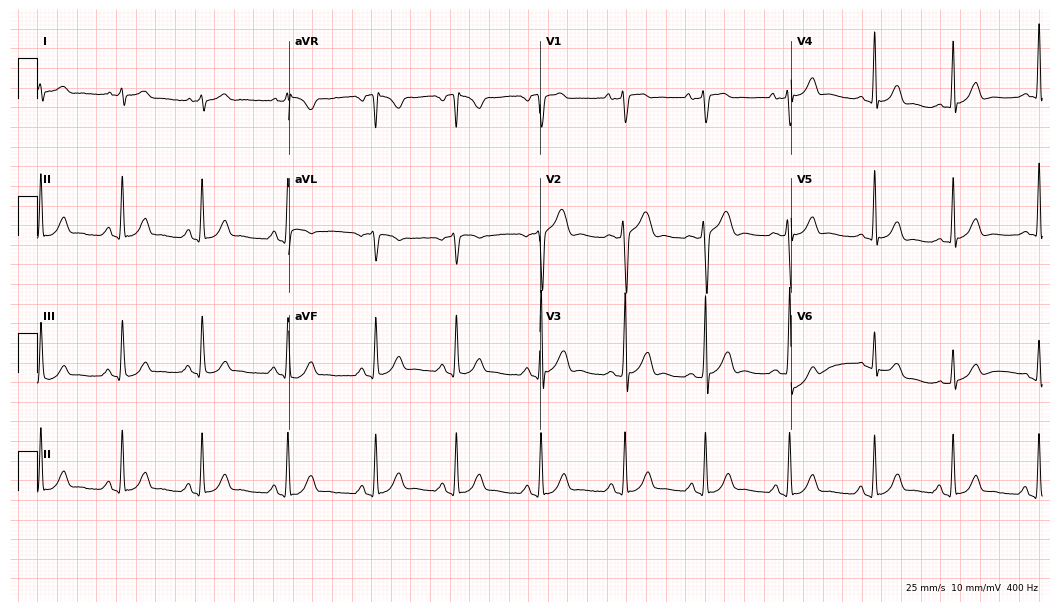
Electrocardiogram (10.2-second recording at 400 Hz), a male patient, 22 years old. Of the six screened findings (first-degree AV block, right bundle branch block (RBBB), left bundle branch block (LBBB), sinus bradycardia, atrial fibrillation (AF), sinus tachycardia), none is recorded. Only these six findings were labelled.